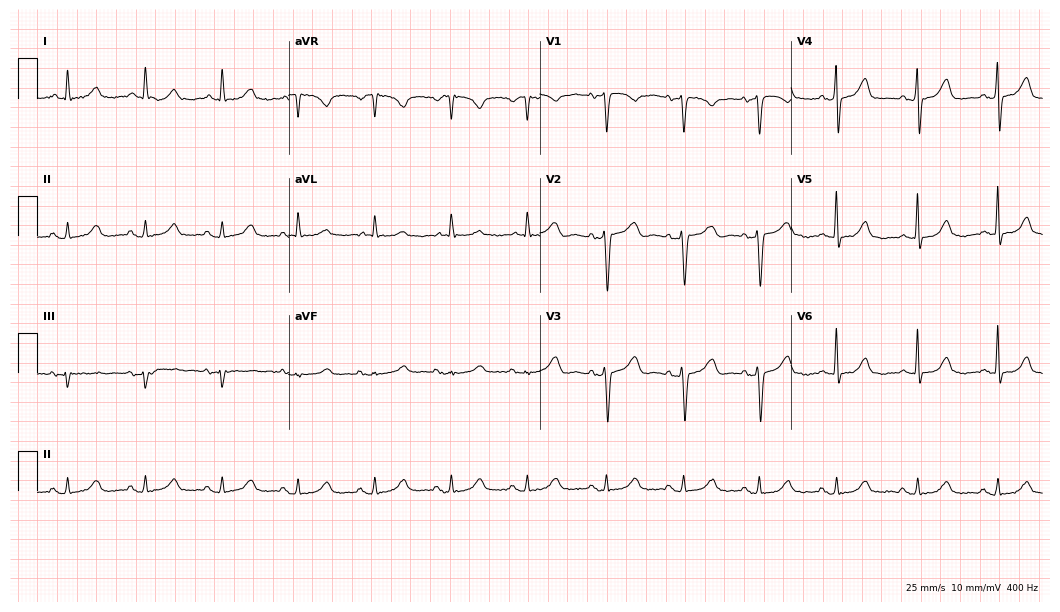
Resting 12-lead electrocardiogram (10.2-second recording at 400 Hz). Patient: a female, 80 years old. None of these six findings is recorded: first-degree AV block, right bundle branch block, left bundle branch block, sinus bradycardia, atrial fibrillation, sinus tachycardia. Other findings, if any, are not listed.